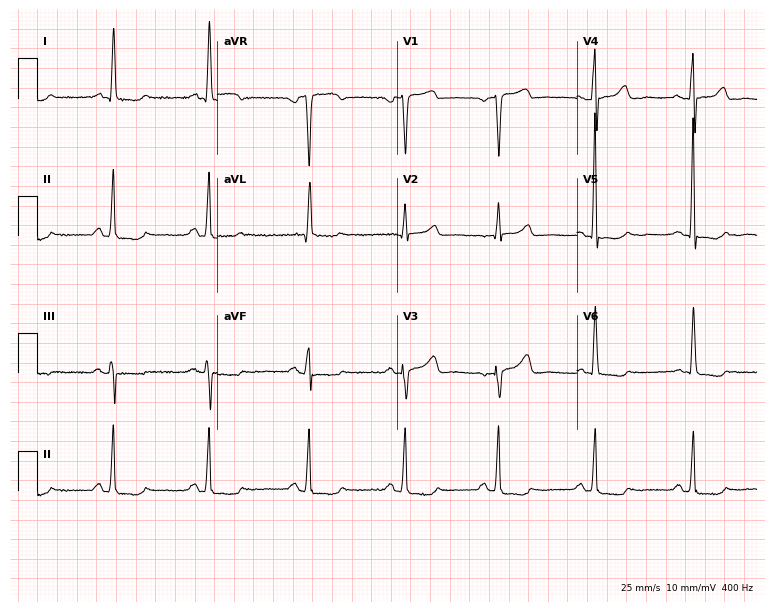
Electrocardiogram, a female, 65 years old. Of the six screened findings (first-degree AV block, right bundle branch block, left bundle branch block, sinus bradycardia, atrial fibrillation, sinus tachycardia), none is recorded.